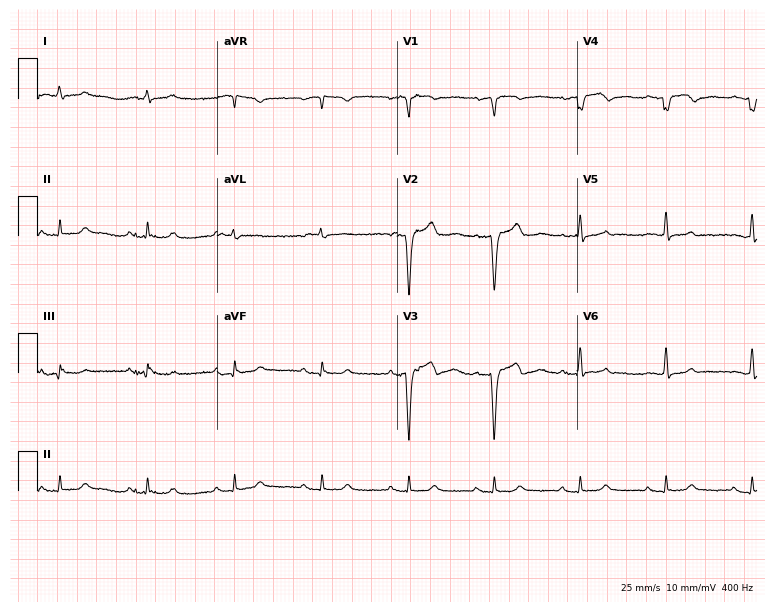
12-lead ECG (7.3-second recording at 400 Hz) from a male patient, 74 years old. Screened for six findings — first-degree AV block, right bundle branch block (RBBB), left bundle branch block (LBBB), sinus bradycardia, atrial fibrillation (AF), sinus tachycardia — none is recorded. Findings outside these six are not listed.